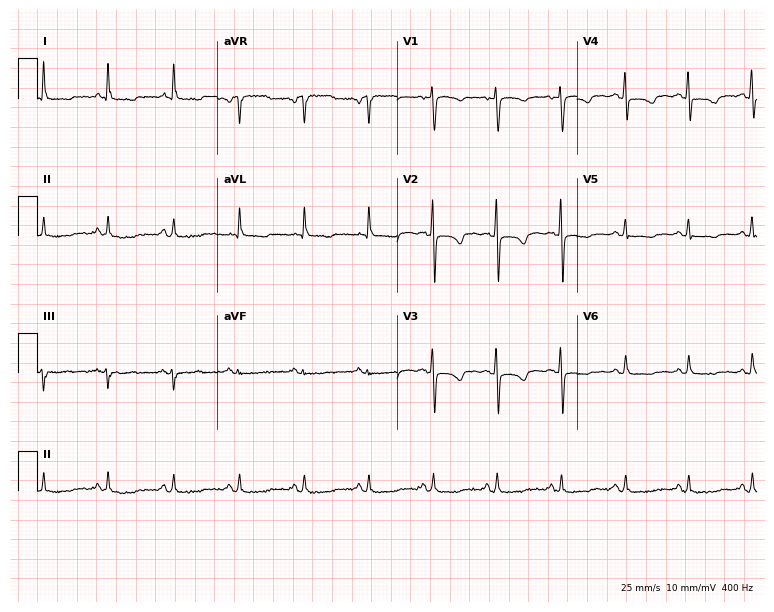
ECG (7.3-second recording at 400 Hz) — a 61-year-old female patient. Labelled as a normal ECG.